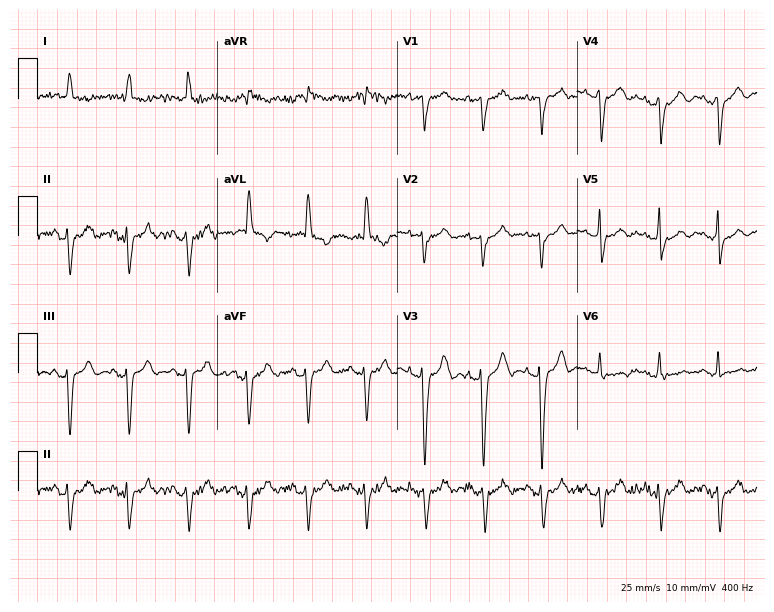
ECG — an 81-year-old female patient. Screened for six findings — first-degree AV block, right bundle branch block, left bundle branch block, sinus bradycardia, atrial fibrillation, sinus tachycardia — none is recorded. Other findings, if any, are not listed.